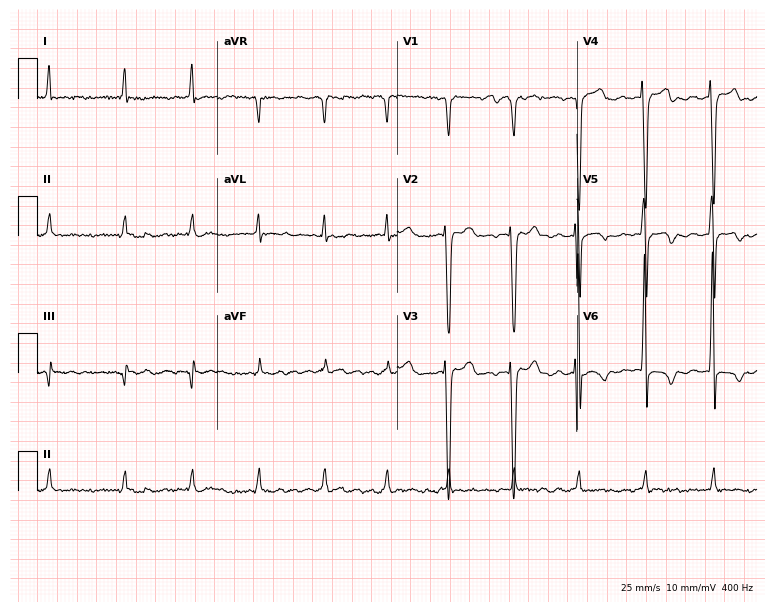
Resting 12-lead electrocardiogram (7.3-second recording at 400 Hz). Patient: a 57-year-old male. The tracing shows atrial fibrillation (AF).